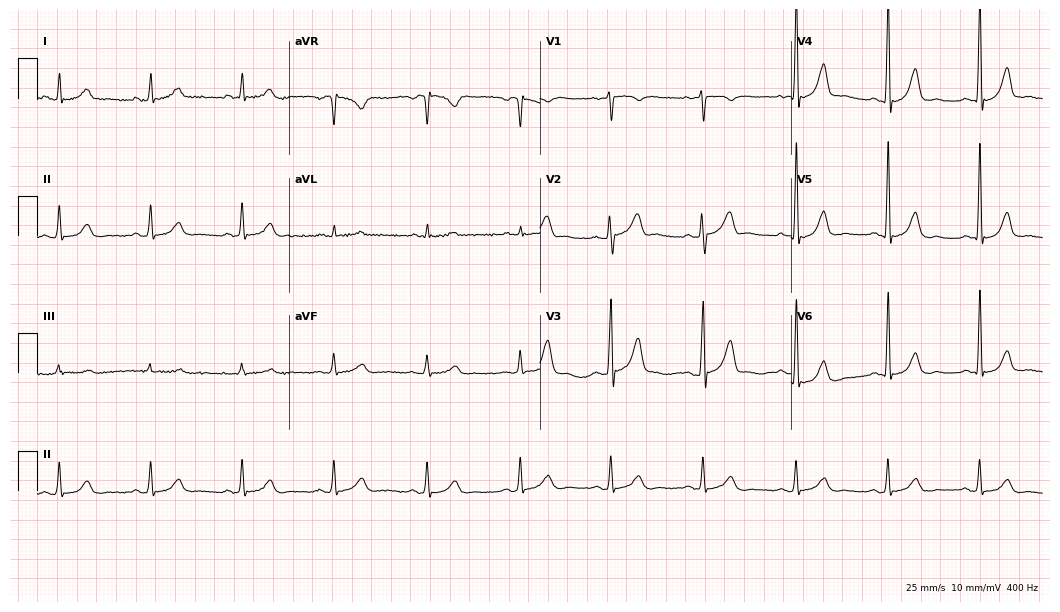
Electrocardiogram, a male, 55 years old. Overall reading on record: normal ECG.